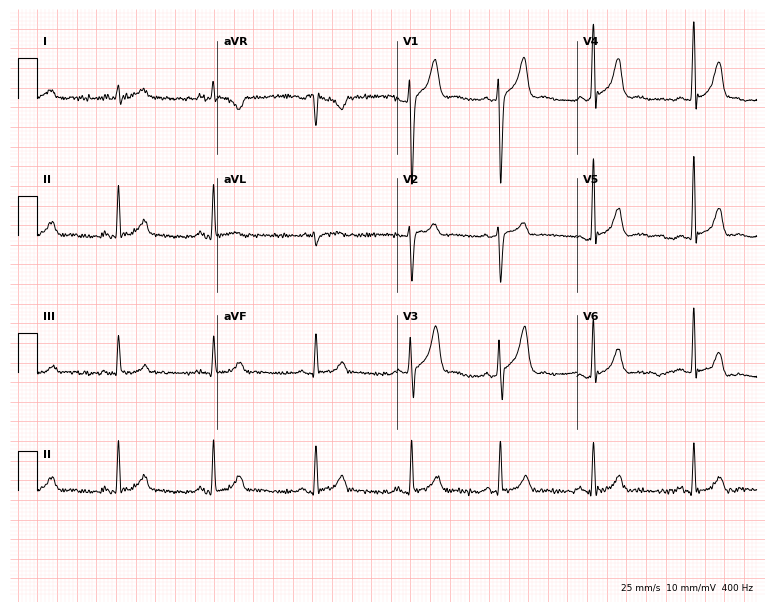
12-lead ECG from a male, 32 years old. Screened for six findings — first-degree AV block, right bundle branch block (RBBB), left bundle branch block (LBBB), sinus bradycardia, atrial fibrillation (AF), sinus tachycardia — none is recorded.